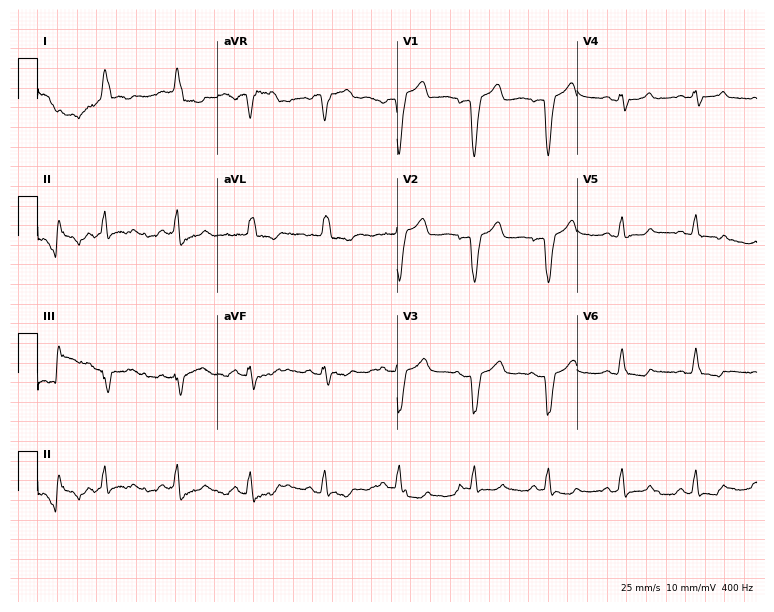
Resting 12-lead electrocardiogram. Patient: an 81-year-old woman. None of these six findings is recorded: first-degree AV block, right bundle branch block, left bundle branch block, sinus bradycardia, atrial fibrillation, sinus tachycardia. Findings outside these six are not listed.